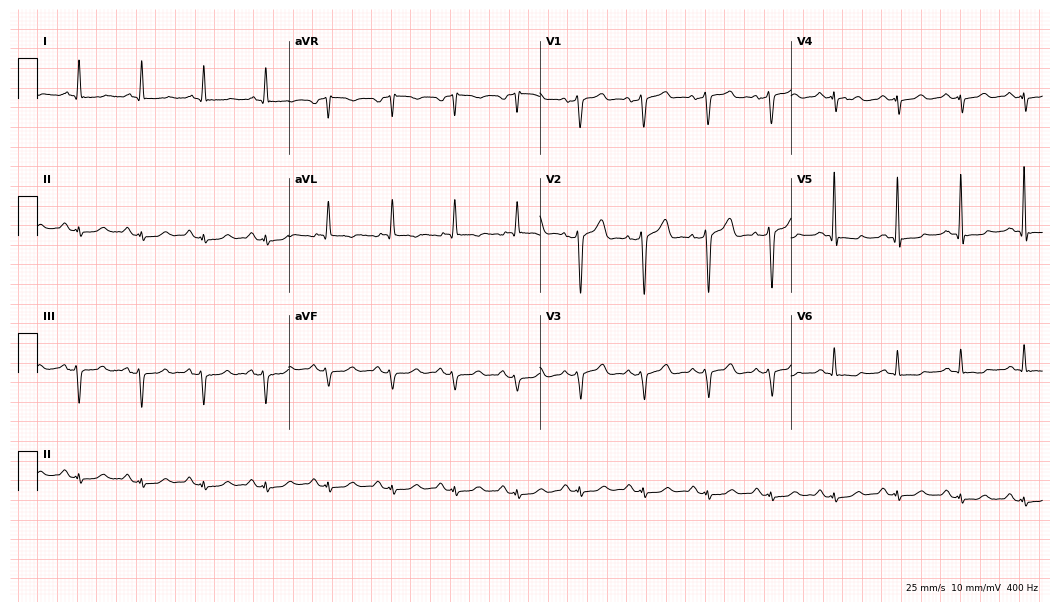
12-lead ECG from a male patient, 66 years old (10.2-second recording at 400 Hz). No first-degree AV block, right bundle branch block (RBBB), left bundle branch block (LBBB), sinus bradycardia, atrial fibrillation (AF) or sinus tachycardia recorded for this tracing.